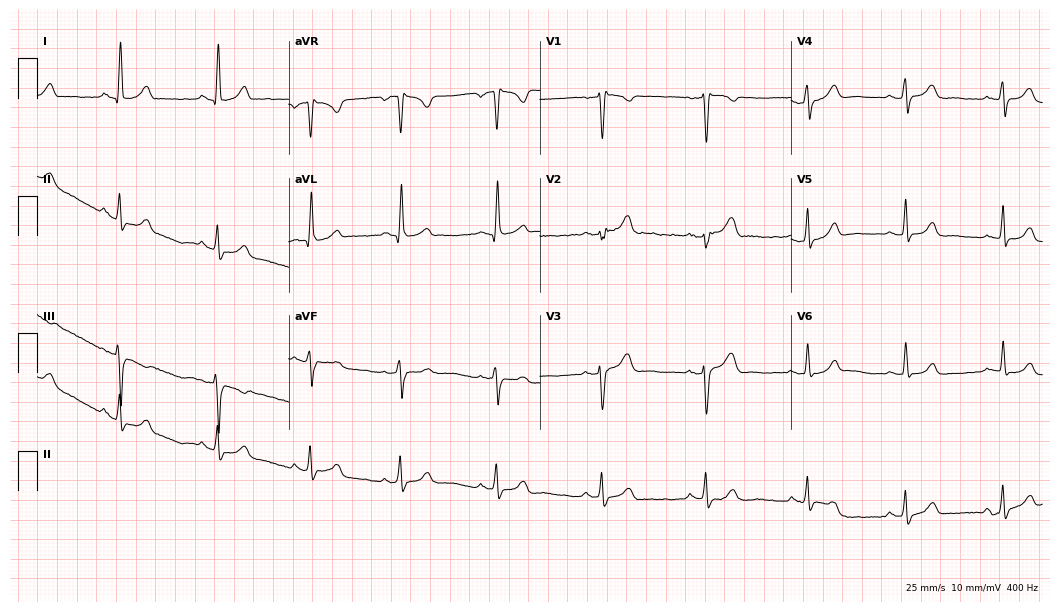
Electrocardiogram (10.2-second recording at 400 Hz), a woman, 28 years old. Of the six screened findings (first-degree AV block, right bundle branch block, left bundle branch block, sinus bradycardia, atrial fibrillation, sinus tachycardia), none is recorded.